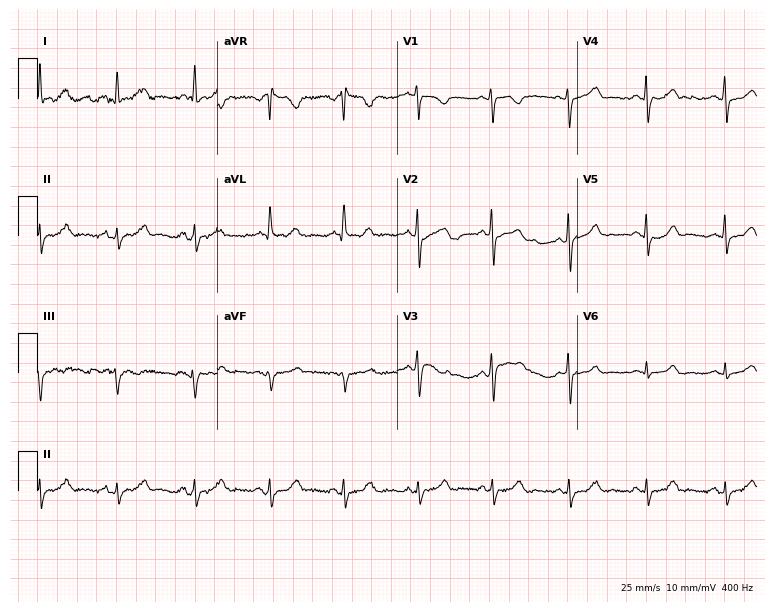
Electrocardiogram, a 56-year-old woman. Of the six screened findings (first-degree AV block, right bundle branch block, left bundle branch block, sinus bradycardia, atrial fibrillation, sinus tachycardia), none is recorded. Only these six findings were labelled.